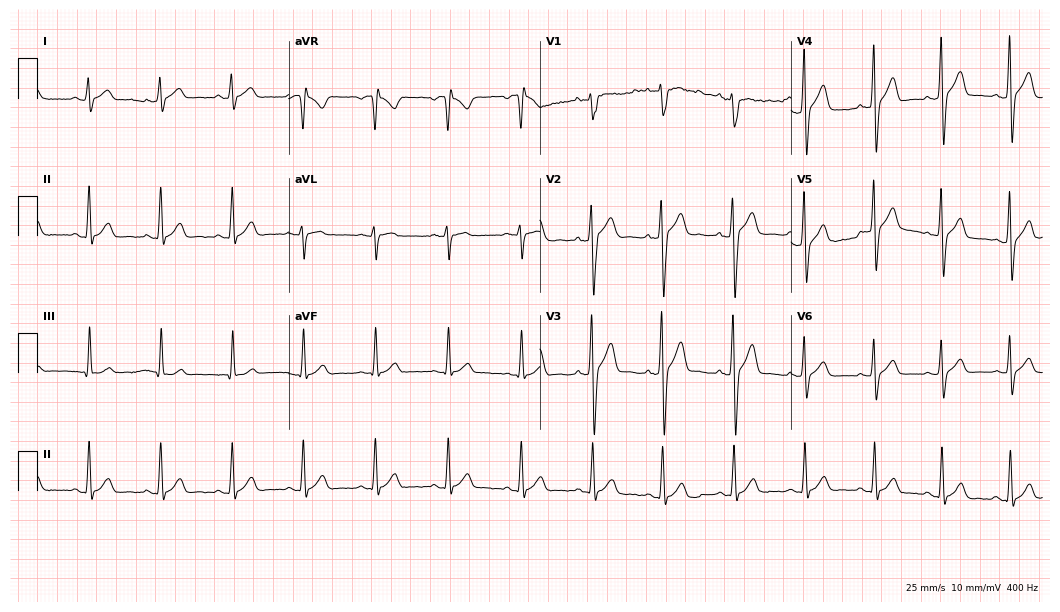
ECG — a male, 26 years old. Labelled as a normal ECG.